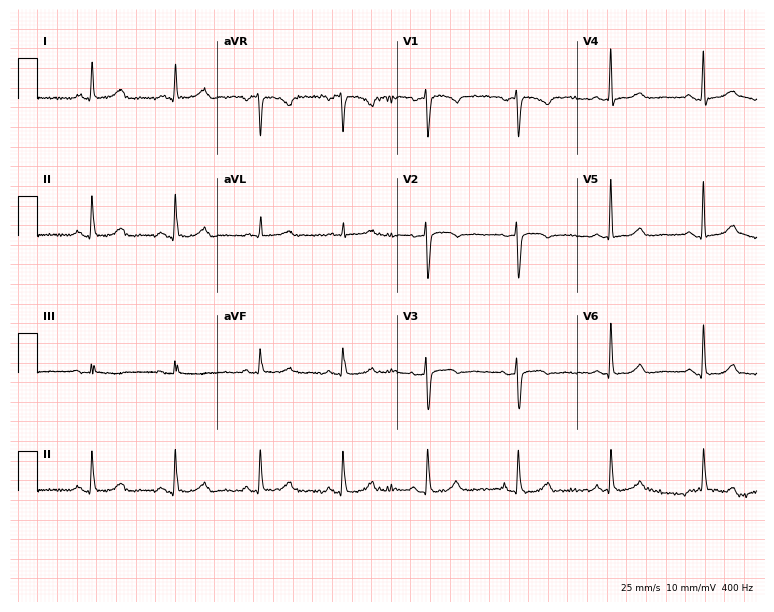
Electrocardiogram (7.3-second recording at 400 Hz), a 49-year-old female patient. Overall reading on record: normal ECG.